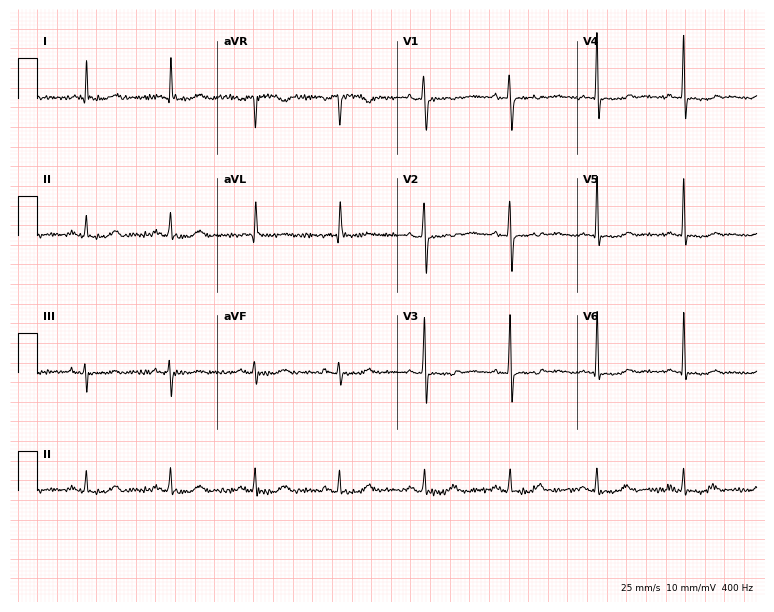
Electrocardiogram (7.3-second recording at 400 Hz), a 71-year-old female patient. Of the six screened findings (first-degree AV block, right bundle branch block, left bundle branch block, sinus bradycardia, atrial fibrillation, sinus tachycardia), none is recorded. Only these six findings were labelled.